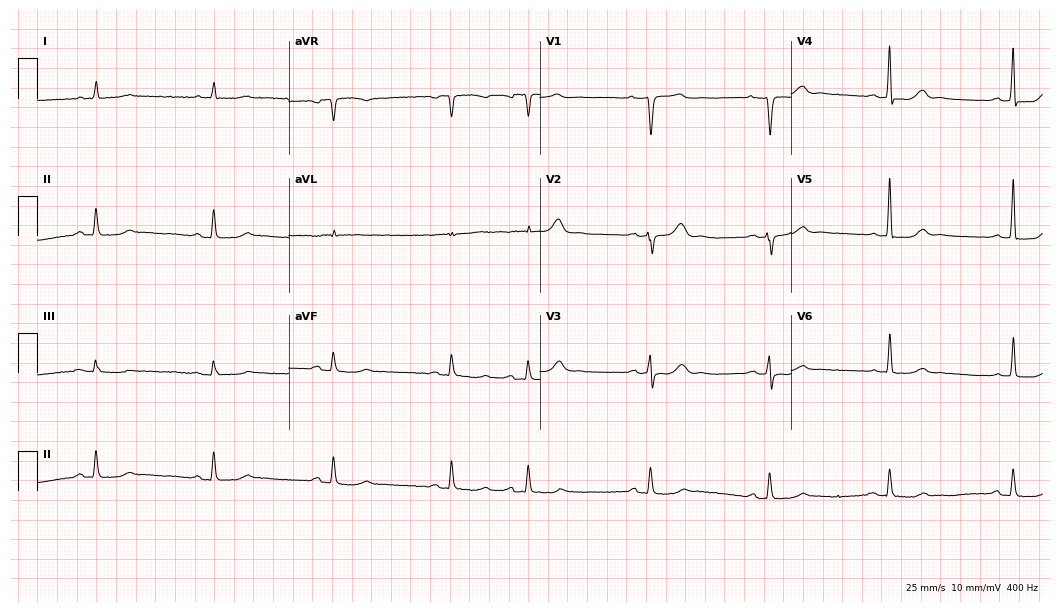
ECG (10.2-second recording at 400 Hz) — a female, 81 years old. Screened for six findings — first-degree AV block, right bundle branch block (RBBB), left bundle branch block (LBBB), sinus bradycardia, atrial fibrillation (AF), sinus tachycardia — none is recorded. Only these six findings were labelled.